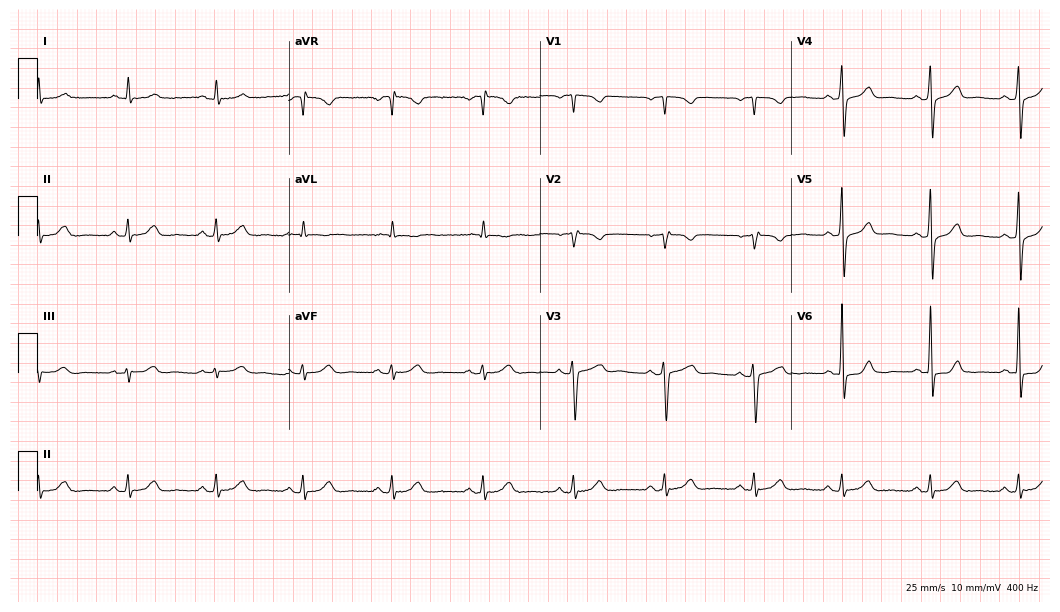
Standard 12-lead ECG recorded from a 67-year-old woman (10.2-second recording at 400 Hz). Read as a normal ECG.